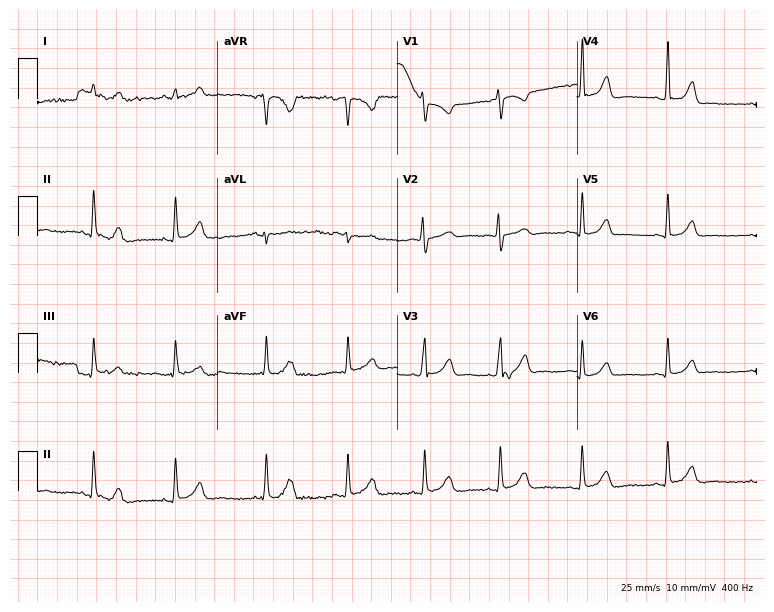
ECG — a 20-year-old woman. Screened for six findings — first-degree AV block, right bundle branch block (RBBB), left bundle branch block (LBBB), sinus bradycardia, atrial fibrillation (AF), sinus tachycardia — none is recorded.